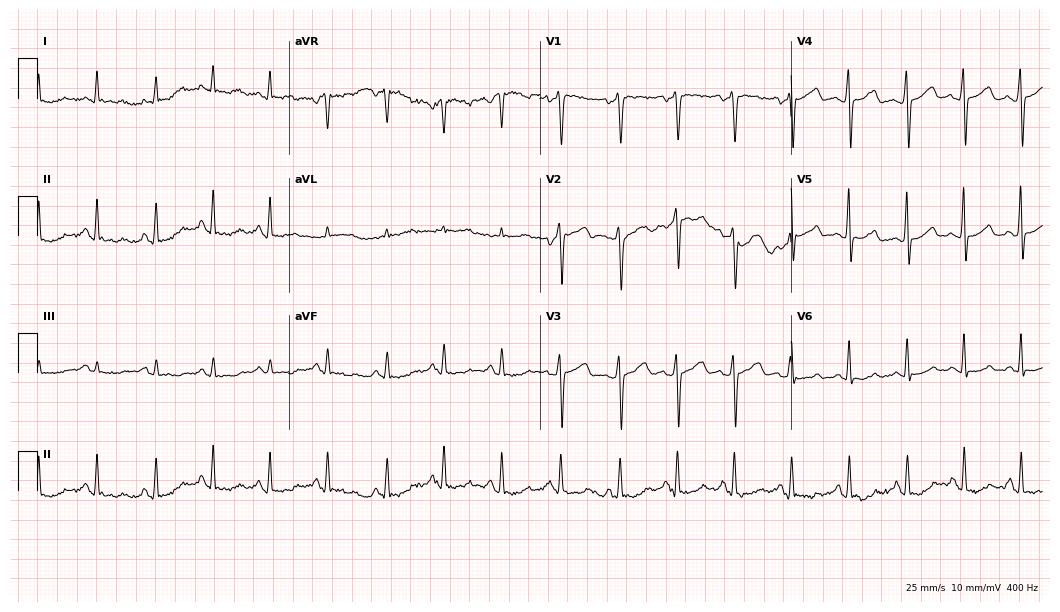
ECG — a 51-year-old woman. Screened for six findings — first-degree AV block, right bundle branch block, left bundle branch block, sinus bradycardia, atrial fibrillation, sinus tachycardia — none is recorded. Only these six findings were labelled.